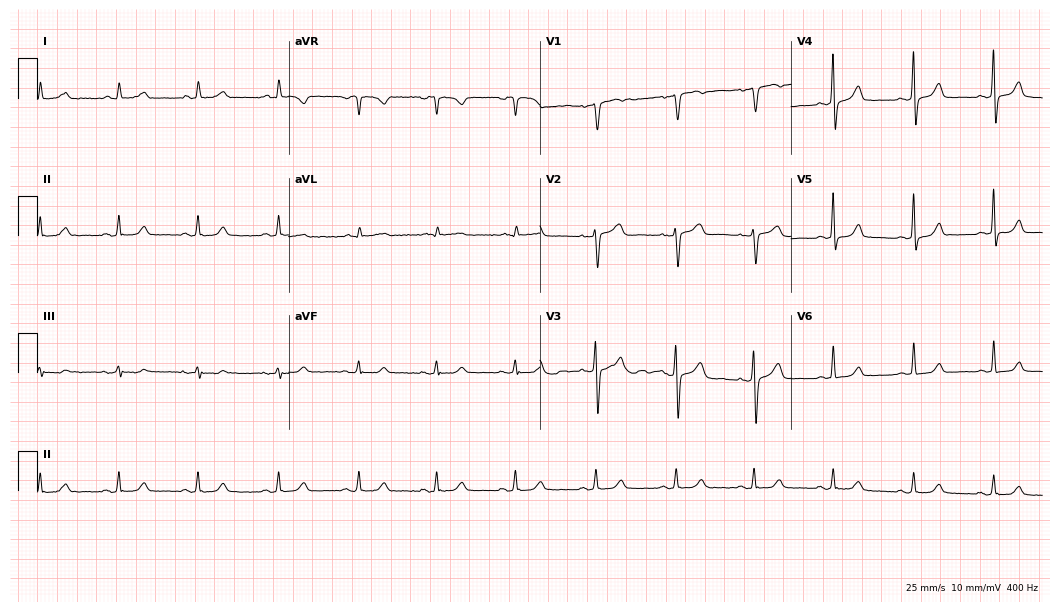
Resting 12-lead electrocardiogram. Patient: a woman, 52 years old. Read as a normal ECG.